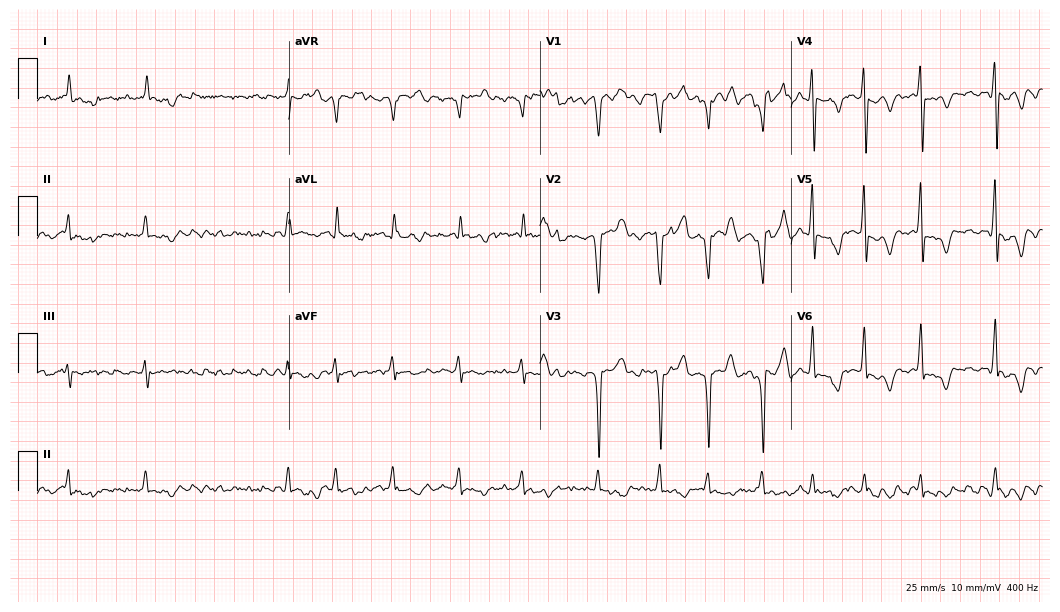
ECG (10.2-second recording at 400 Hz) — a 52-year-old male patient. Findings include atrial fibrillation.